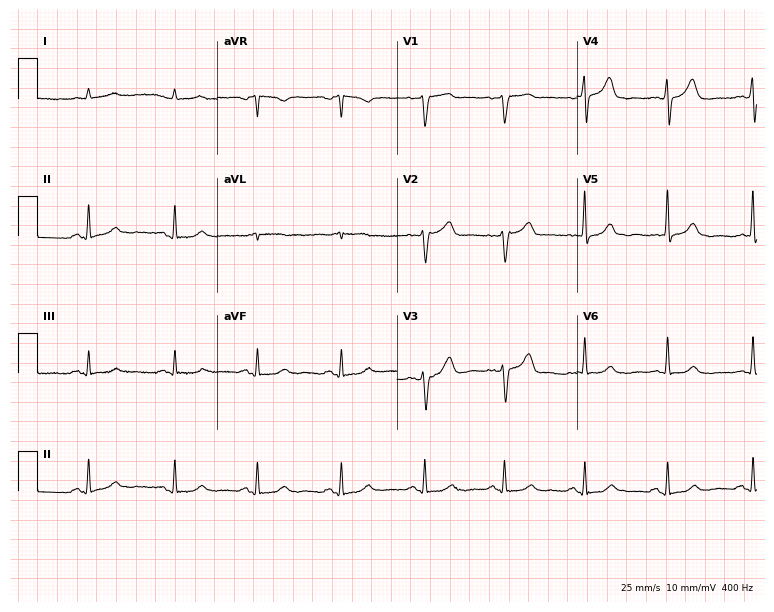
Electrocardiogram (7.3-second recording at 400 Hz), a man, 70 years old. Overall reading on record: normal ECG.